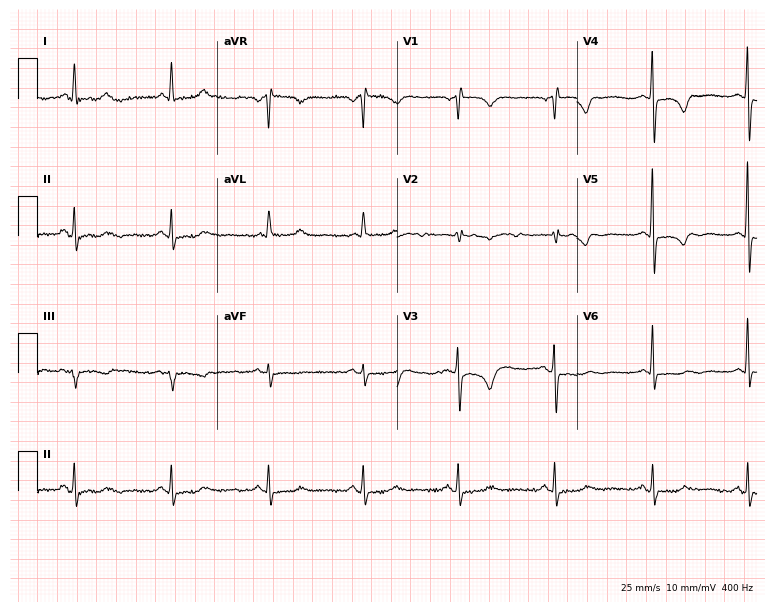
Standard 12-lead ECG recorded from a 65-year-old female patient (7.3-second recording at 400 Hz). None of these six findings is recorded: first-degree AV block, right bundle branch block (RBBB), left bundle branch block (LBBB), sinus bradycardia, atrial fibrillation (AF), sinus tachycardia. Findings outside these six are not listed.